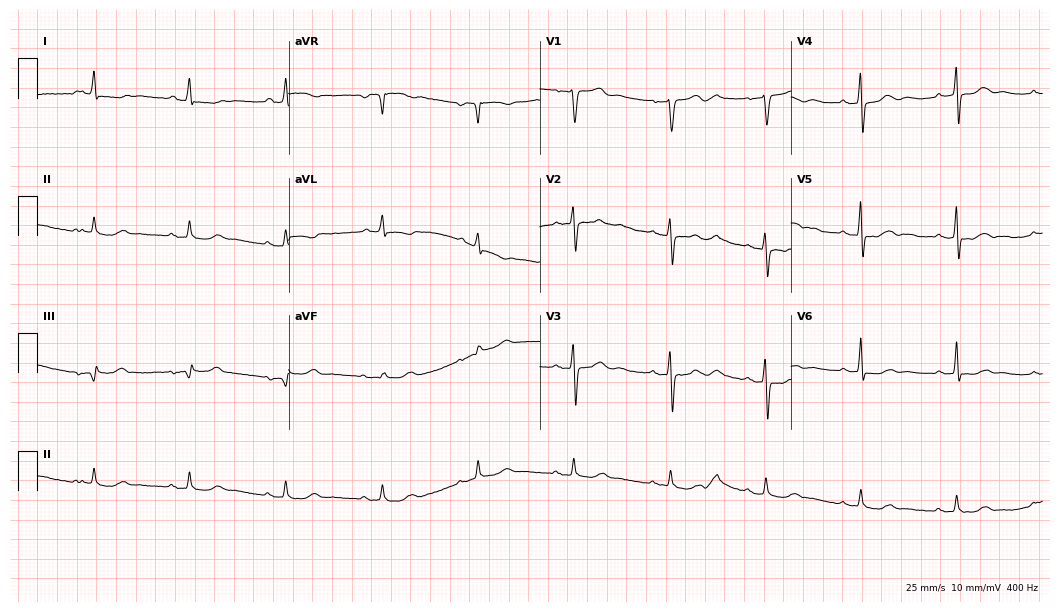
Electrocardiogram, a male, 82 years old. Of the six screened findings (first-degree AV block, right bundle branch block, left bundle branch block, sinus bradycardia, atrial fibrillation, sinus tachycardia), none is recorded. Only these six findings were labelled.